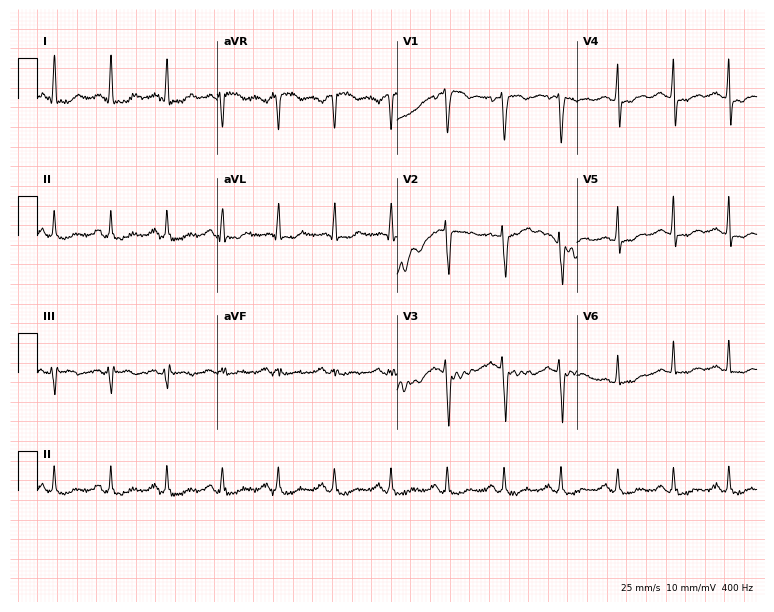
ECG — a woman, 36 years old. Findings include sinus tachycardia (a sinus rate of 100 beats per minute or more).